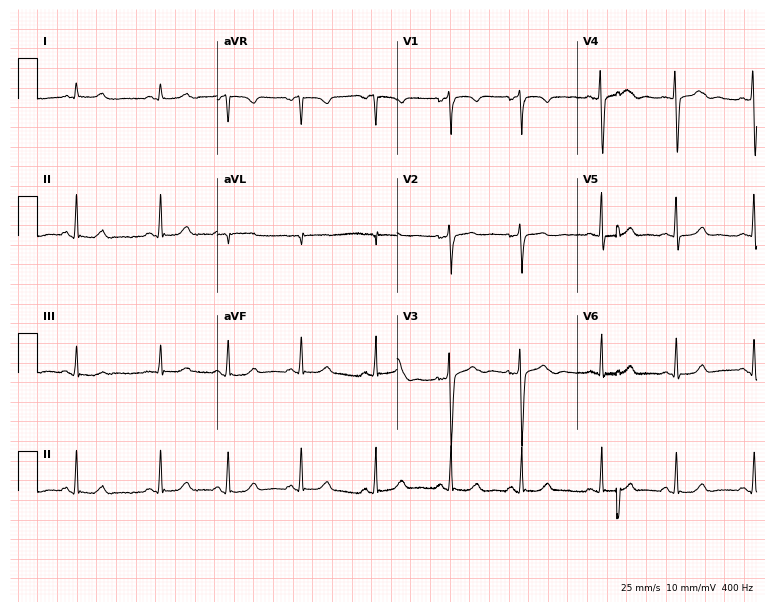
Standard 12-lead ECG recorded from a female patient, 20 years old. None of these six findings is recorded: first-degree AV block, right bundle branch block (RBBB), left bundle branch block (LBBB), sinus bradycardia, atrial fibrillation (AF), sinus tachycardia. Other findings, if any, are not listed.